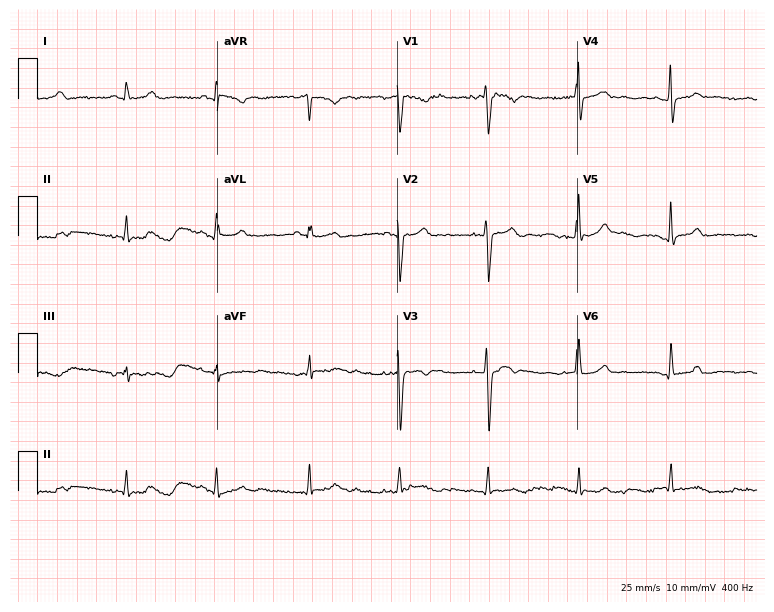
Electrocardiogram (7.3-second recording at 400 Hz), a male patient, 34 years old. Overall reading on record: normal ECG.